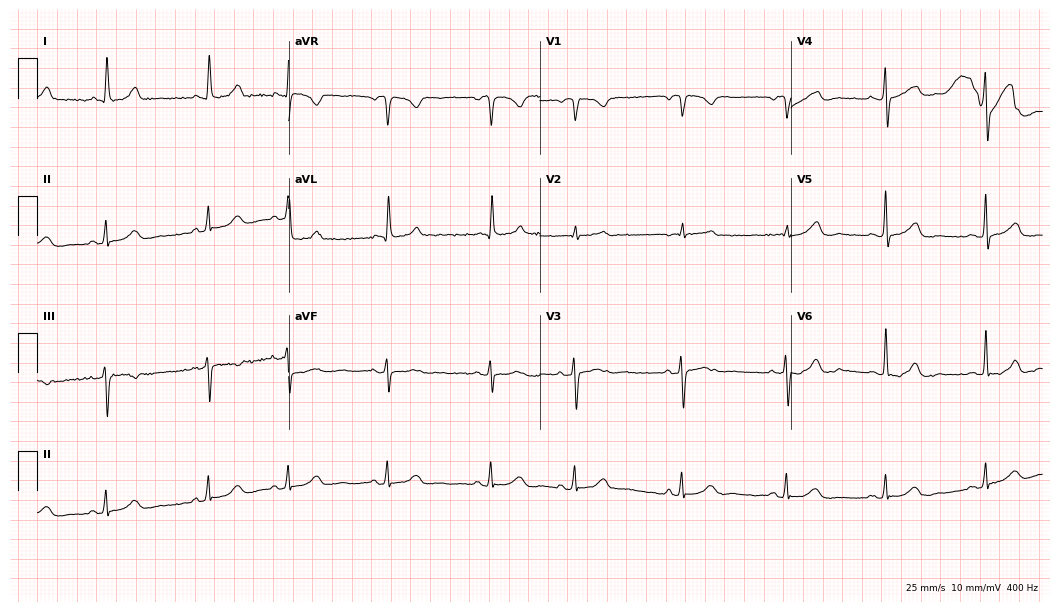
ECG (10.2-second recording at 400 Hz) — an 82-year-old female patient. Labelled as a normal ECG.